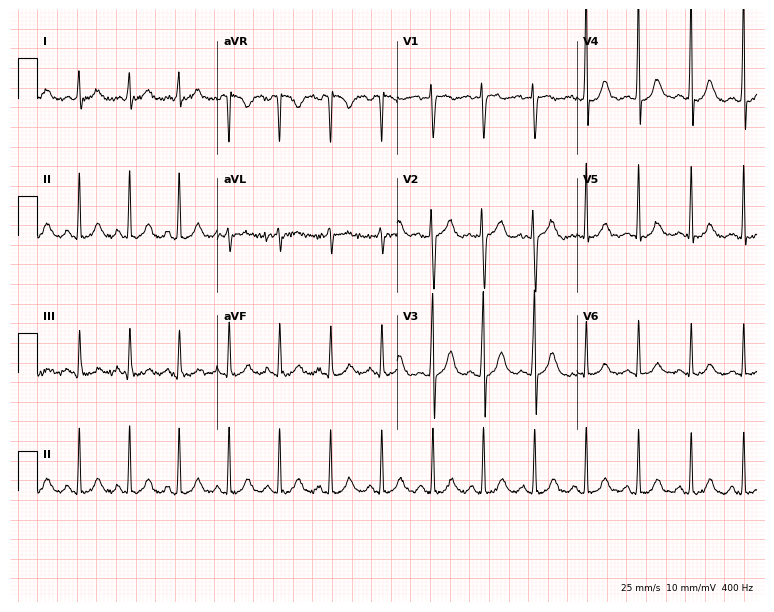
12-lead ECG from a woman, 18 years old. Shows sinus tachycardia (a sinus rate of 100 beats per minute or more).